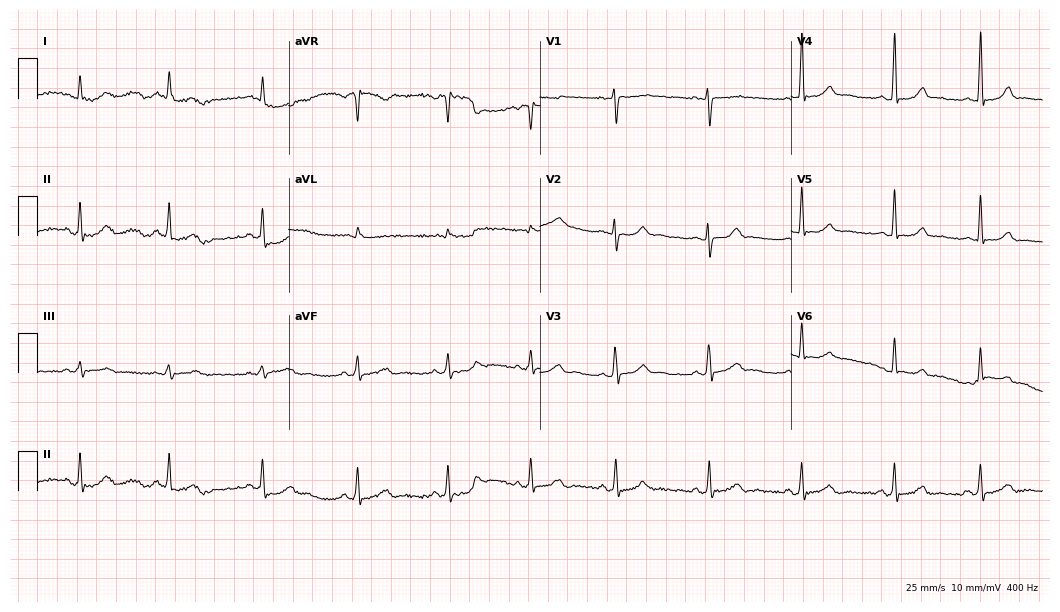
Resting 12-lead electrocardiogram (10.2-second recording at 400 Hz). Patient: a 26-year-old woman. Read as a normal ECG.